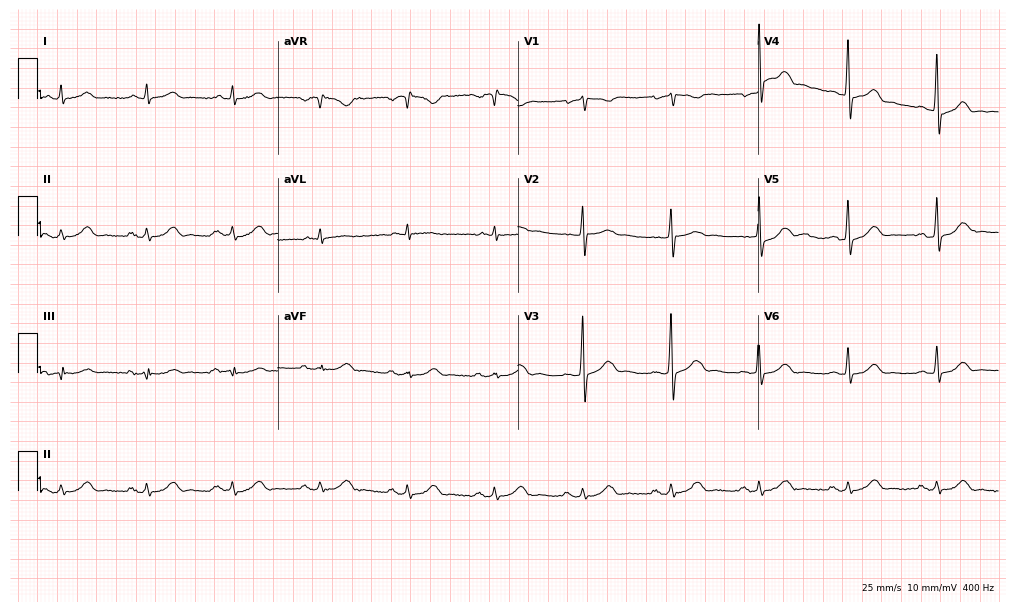
Resting 12-lead electrocardiogram (9.8-second recording at 400 Hz). Patient: a male, 55 years old. Read as a normal ECG.